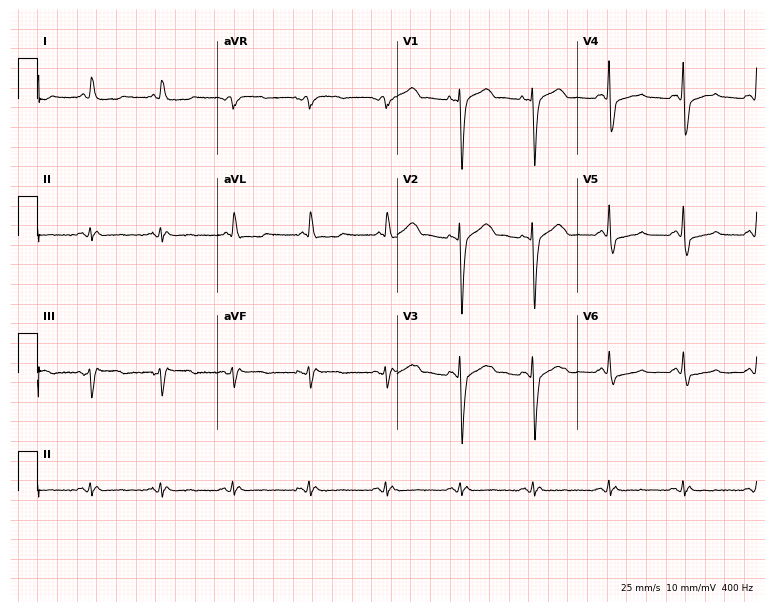
ECG (7.3-second recording at 400 Hz) — a 76-year-old female. Screened for six findings — first-degree AV block, right bundle branch block, left bundle branch block, sinus bradycardia, atrial fibrillation, sinus tachycardia — none is recorded. Only these six findings were labelled.